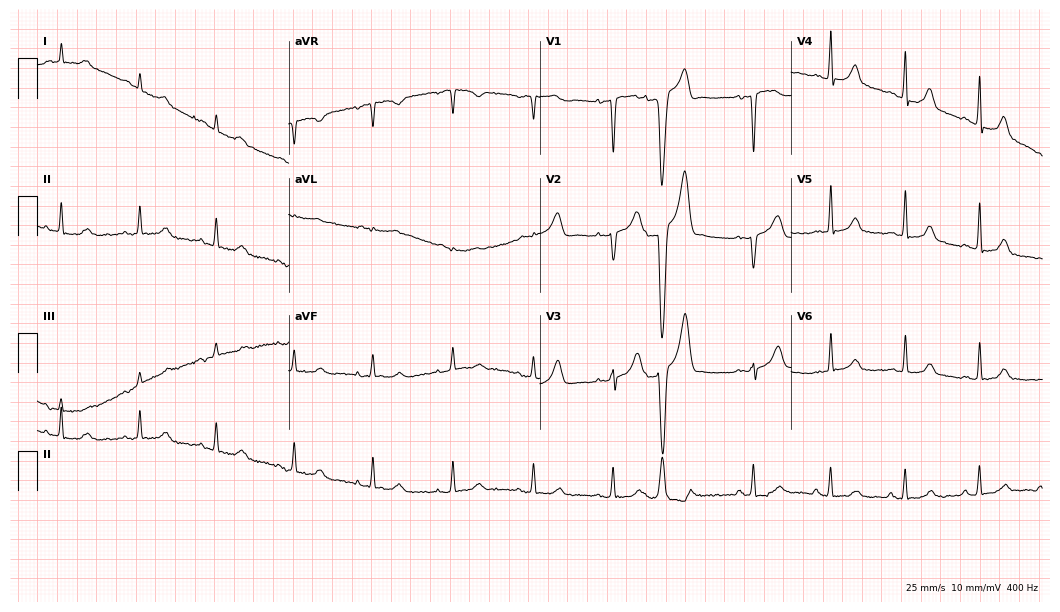
Resting 12-lead electrocardiogram (10.2-second recording at 400 Hz). Patient: a man, 58 years old. None of these six findings is recorded: first-degree AV block, right bundle branch block (RBBB), left bundle branch block (LBBB), sinus bradycardia, atrial fibrillation (AF), sinus tachycardia.